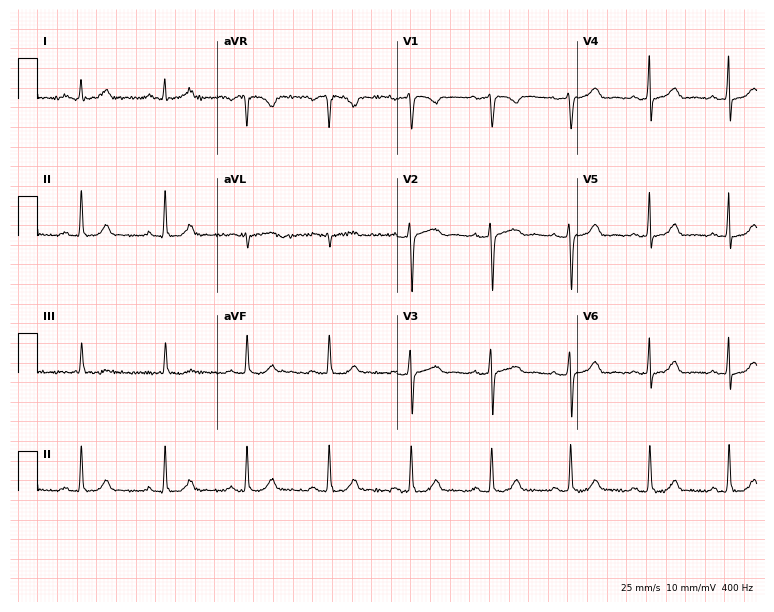
12-lead ECG from a 40-year-old female patient. Screened for six findings — first-degree AV block, right bundle branch block, left bundle branch block, sinus bradycardia, atrial fibrillation, sinus tachycardia — none is recorded.